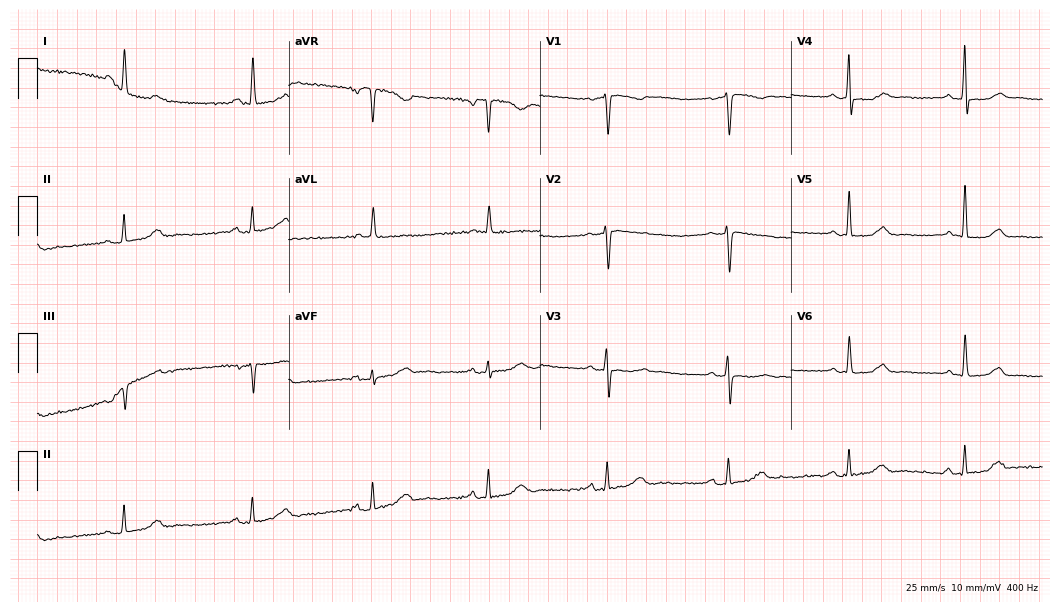
Standard 12-lead ECG recorded from a 58-year-old woman (10.2-second recording at 400 Hz). The tracing shows sinus bradycardia (a sinus rate of 50 beats per minute or less).